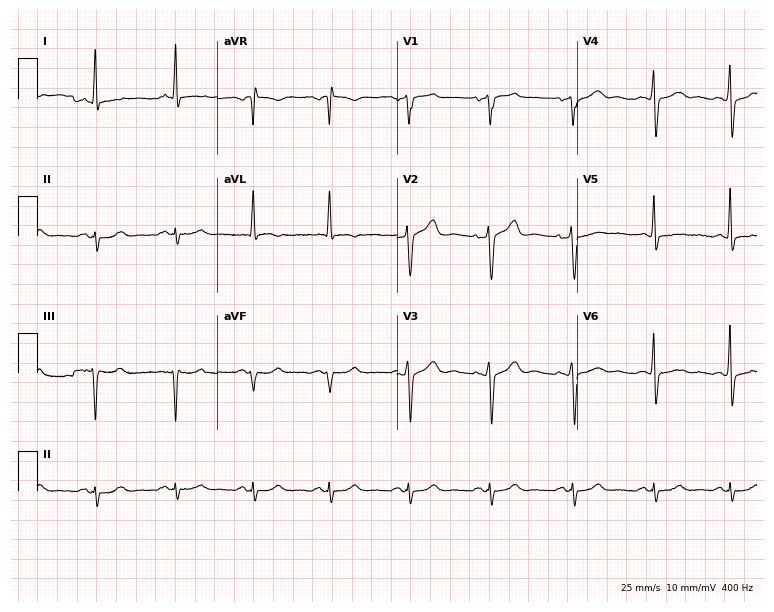
12-lead ECG (7.3-second recording at 400 Hz) from a male patient, 67 years old. Screened for six findings — first-degree AV block, right bundle branch block, left bundle branch block, sinus bradycardia, atrial fibrillation, sinus tachycardia — none is recorded.